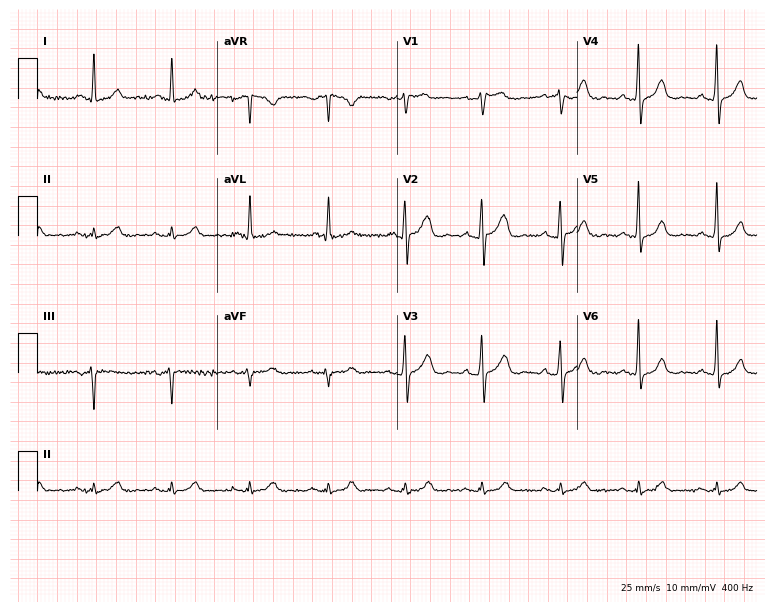
12-lead ECG from a 69-year-old male (7.3-second recording at 400 Hz). Recorded interpretation: within normal limits.